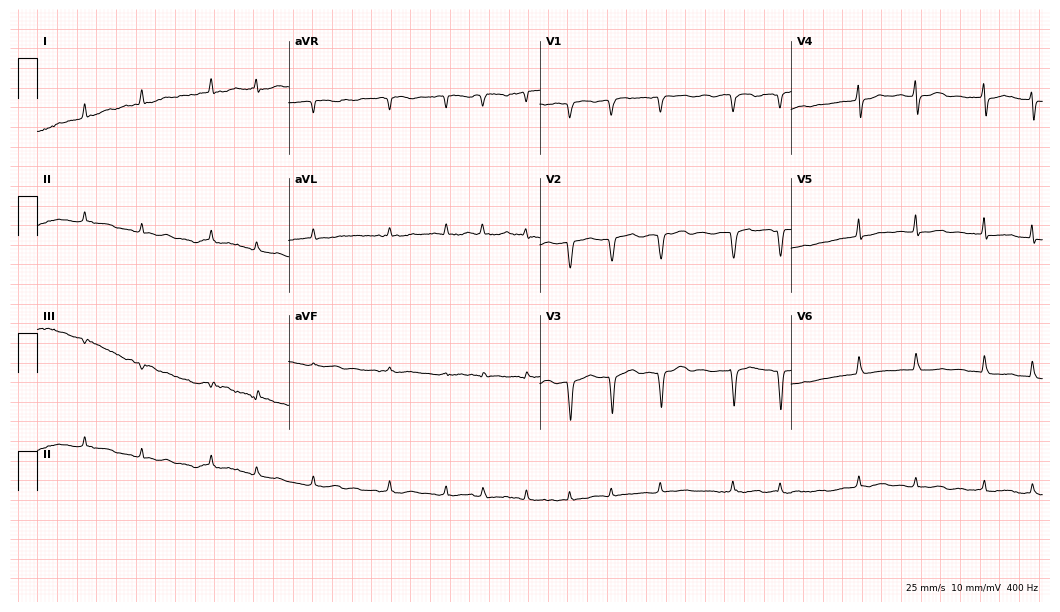
Electrocardiogram (10.2-second recording at 400 Hz), a female patient, 66 years old. Interpretation includes atrial fibrillation (AF).